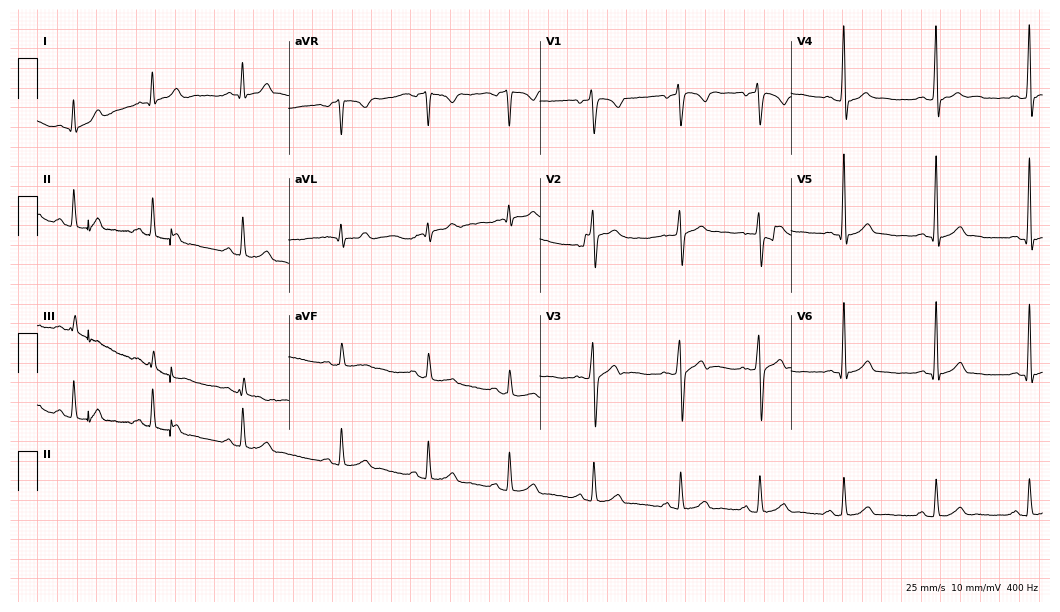
12-lead ECG (10.2-second recording at 400 Hz) from a man, 31 years old. Labelled as a normal ECG.